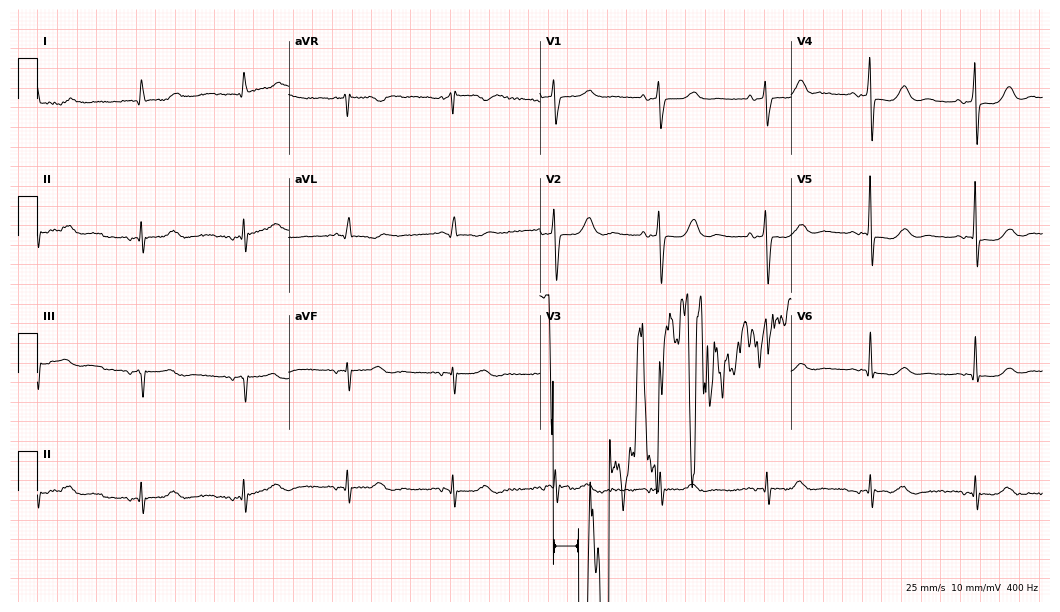
ECG — a female, 83 years old. Screened for six findings — first-degree AV block, right bundle branch block, left bundle branch block, sinus bradycardia, atrial fibrillation, sinus tachycardia — none is recorded.